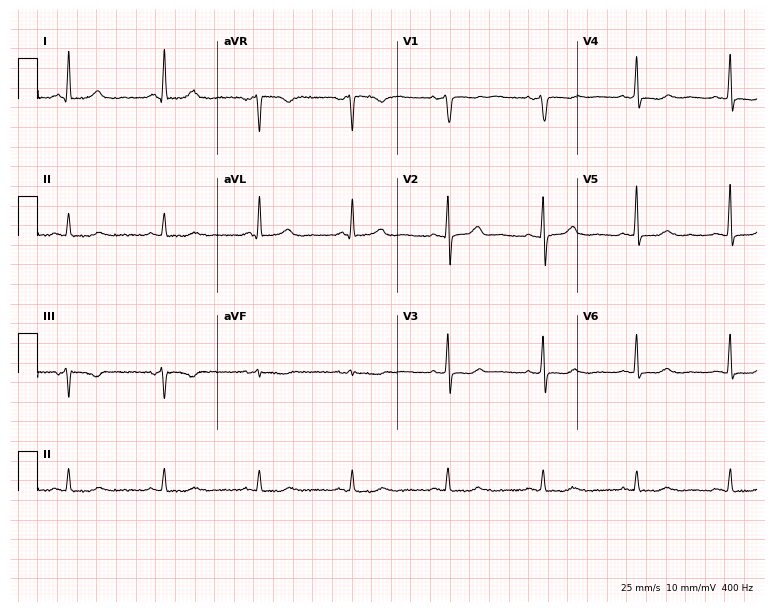
Resting 12-lead electrocardiogram. Patient: a female, 66 years old. Read as a normal ECG.